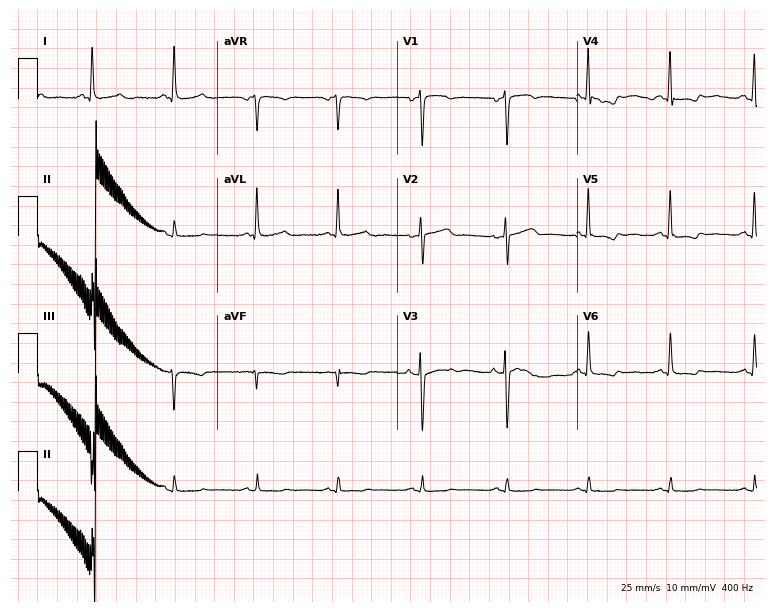
ECG (7.3-second recording at 400 Hz) — a female, 60 years old. Screened for six findings — first-degree AV block, right bundle branch block (RBBB), left bundle branch block (LBBB), sinus bradycardia, atrial fibrillation (AF), sinus tachycardia — none is recorded. Other findings, if any, are not listed.